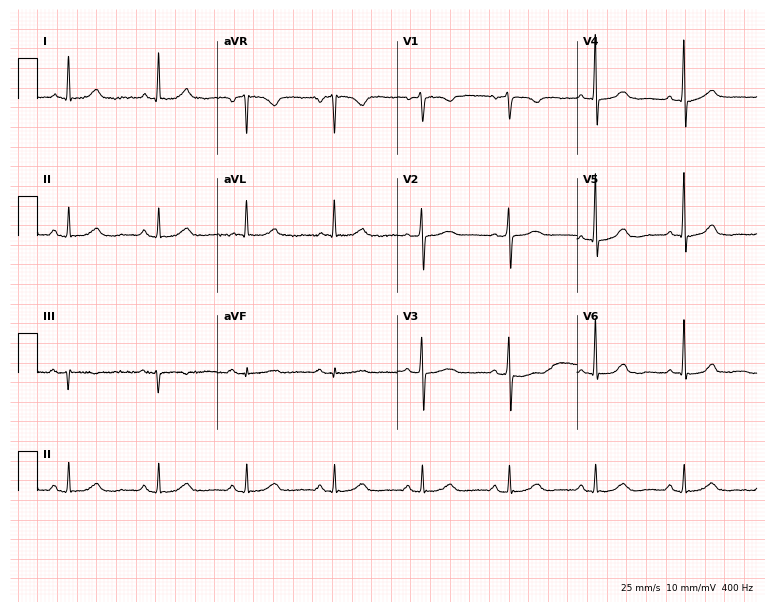
Standard 12-lead ECG recorded from a 66-year-old female (7.3-second recording at 400 Hz). Read as a normal ECG.